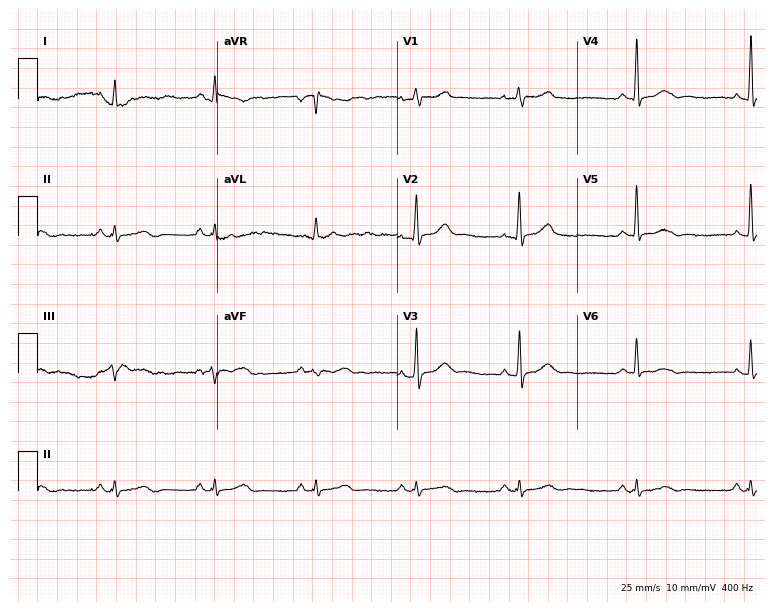
Standard 12-lead ECG recorded from a male patient, 82 years old (7.3-second recording at 400 Hz). Read as a normal ECG.